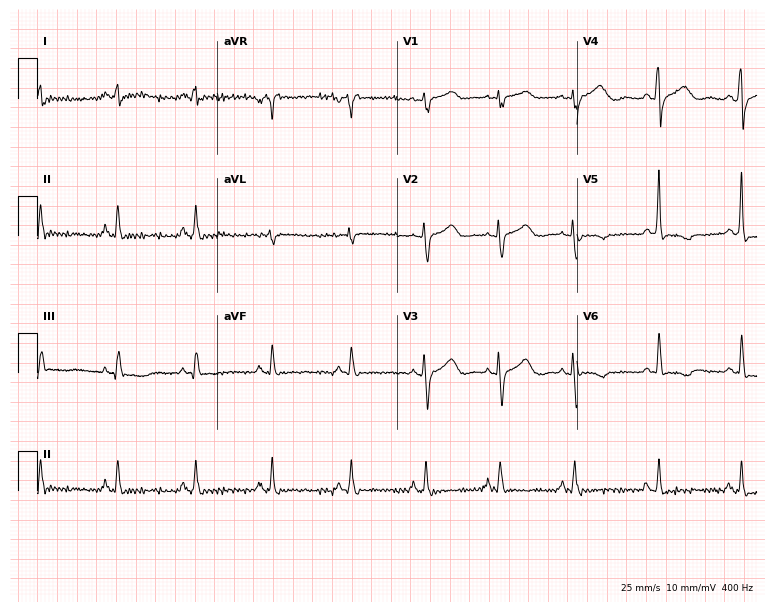
Standard 12-lead ECG recorded from a 77-year-old female (7.3-second recording at 400 Hz). None of these six findings is recorded: first-degree AV block, right bundle branch block (RBBB), left bundle branch block (LBBB), sinus bradycardia, atrial fibrillation (AF), sinus tachycardia.